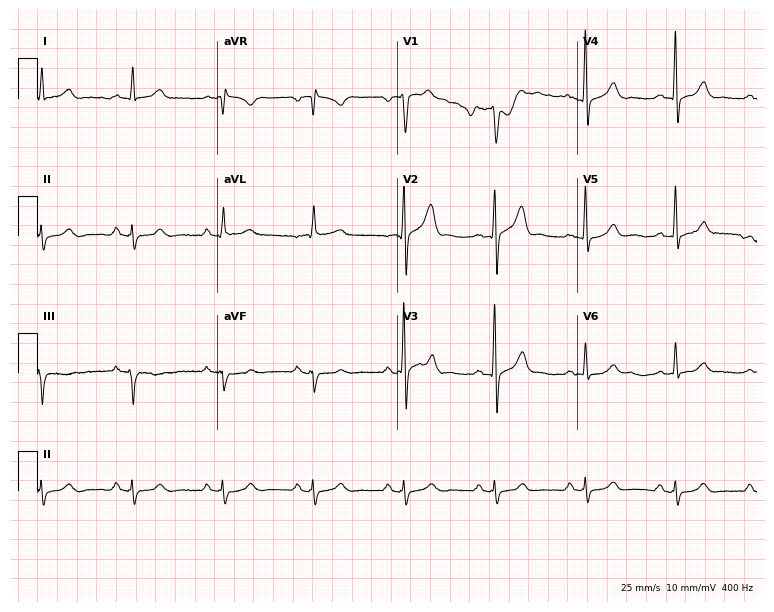
Standard 12-lead ECG recorded from a 66-year-old woman (7.3-second recording at 400 Hz). None of these six findings is recorded: first-degree AV block, right bundle branch block, left bundle branch block, sinus bradycardia, atrial fibrillation, sinus tachycardia. Other findings, if any, are not listed.